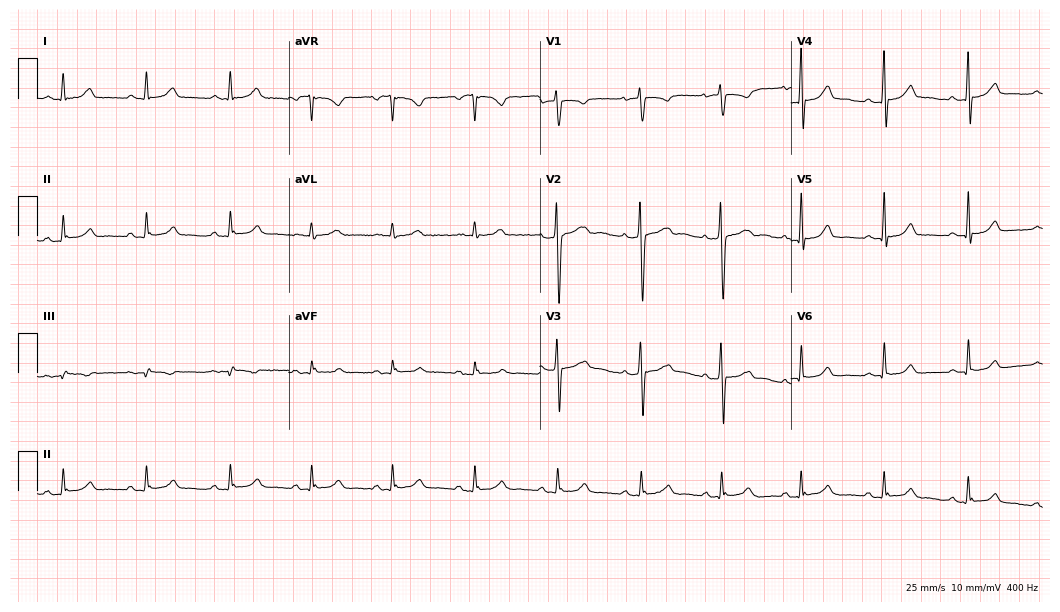
Standard 12-lead ECG recorded from a woman, 42 years old. Read as a normal ECG.